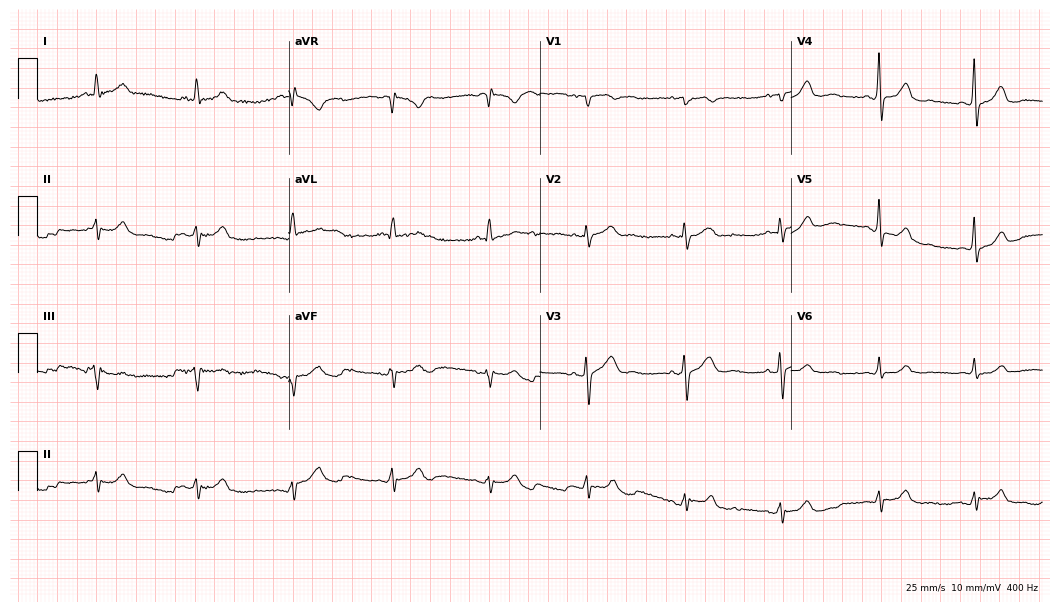
Standard 12-lead ECG recorded from a female, 71 years old (10.2-second recording at 400 Hz). None of these six findings is recorded: first-degree AV block, right bundle branch block, left bundle branch block, sinus bradycardia, atrial fibrillation, sinus tachycardia. Only these six findings were labelled.